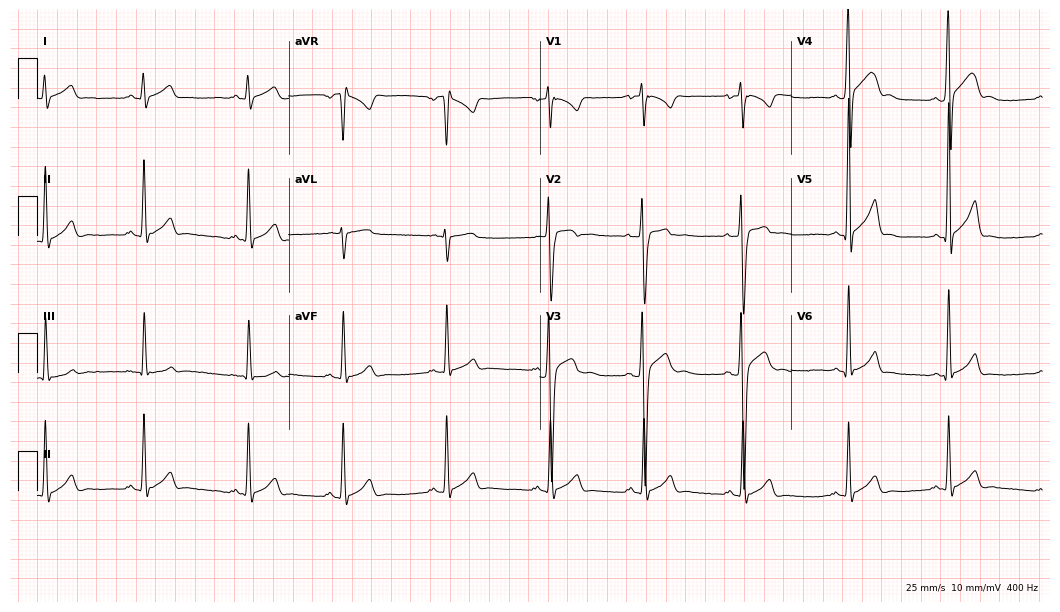
Resting 12-lead electrocardiogram. Patient: an 18-year-old man. Read as a normal ECG.